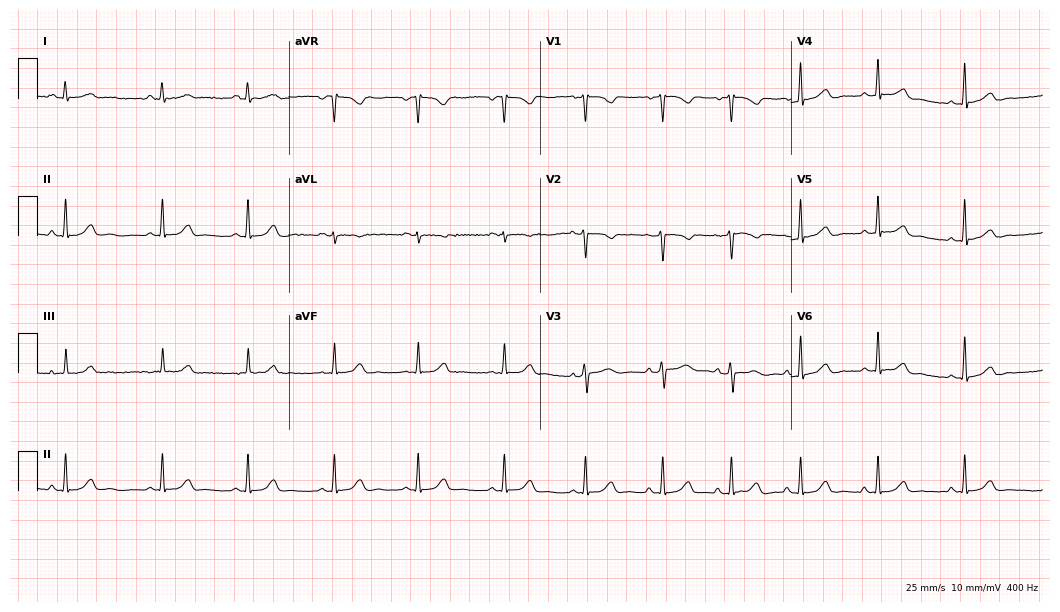
Standard 12-lead ECG recorded from a woman, 17 years old (10.2-second recording at 400 Hz). Read as a normal ECG.